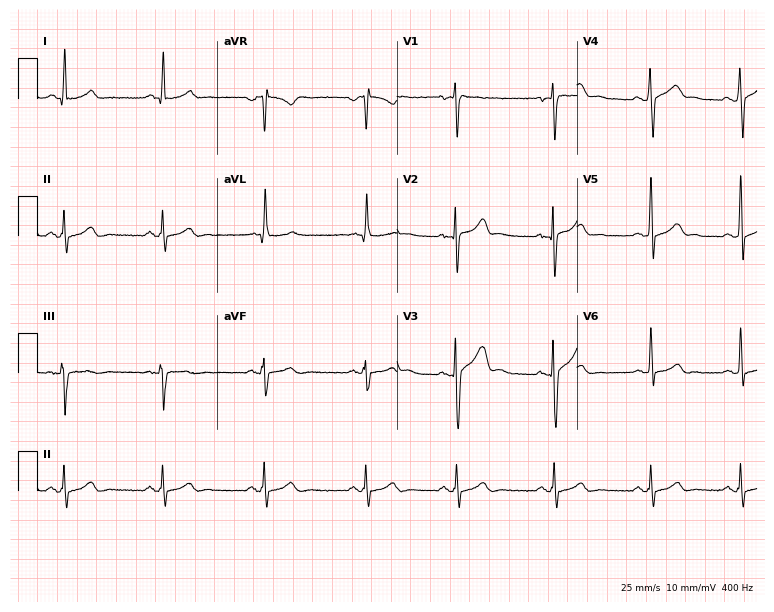
Resting 12-lead electrocardiogram. Patient: a 21-year-old male. Read as a normal ECG.